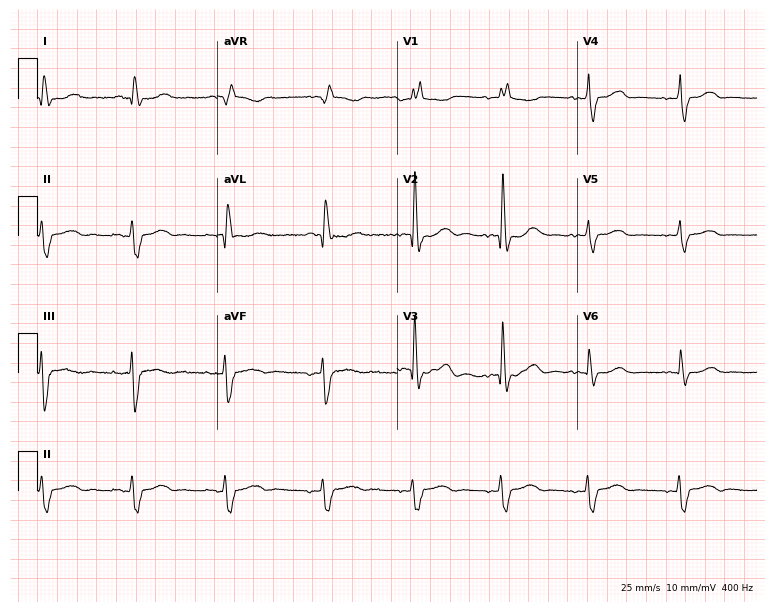
Standard 12-lead ECG recorded from a 69-year-old female (7.3-second recording at 400 Hz). None of these six findings is recorded: first-degree AV block, right bundle branch block, left bundle branch block, sinus bradycardia, atrial fibrillation, sinus tachycardia.